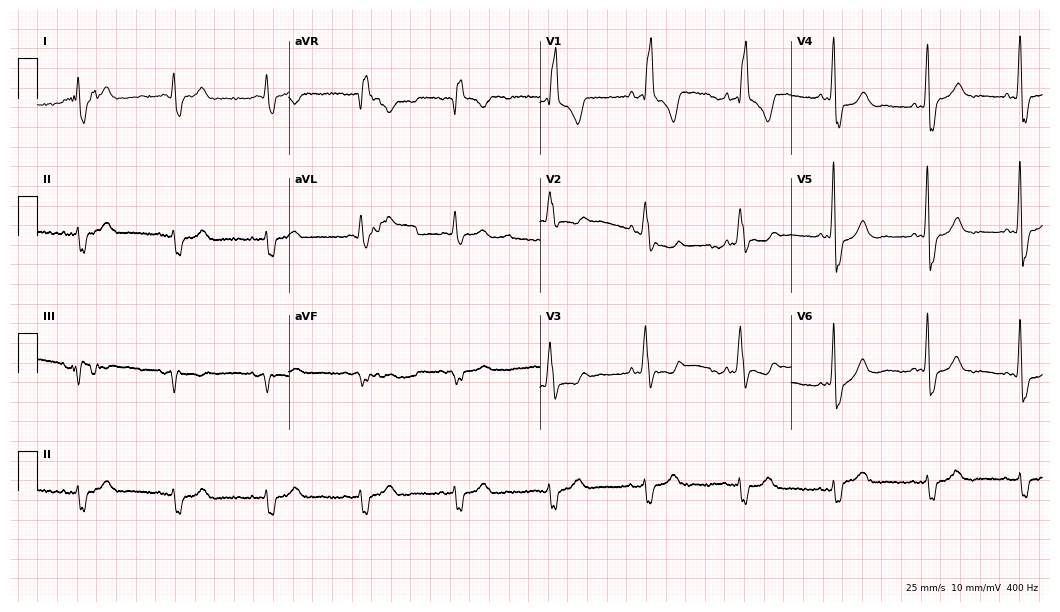
12-lead ECG from a 63-year-old male (10.2-second recording at 400 Hz). Shows right bundle branch block (RBBB).